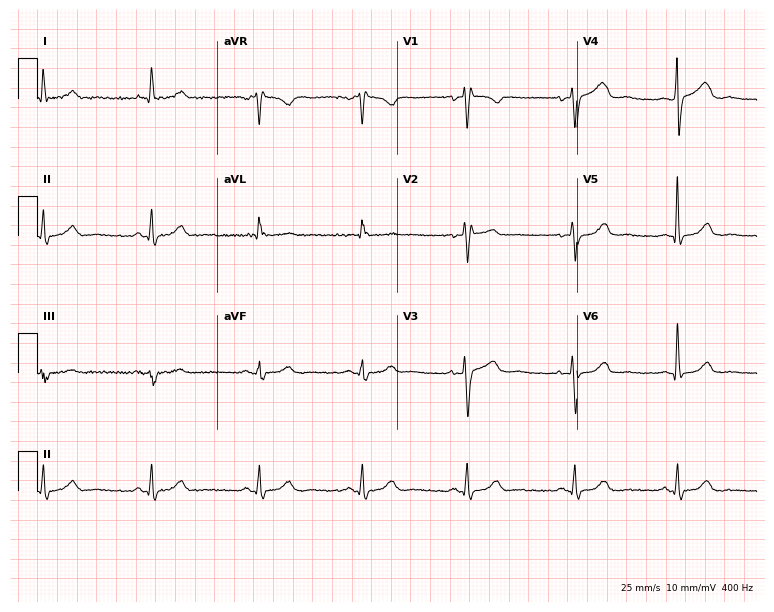
ECG (7.3-second recording at 400 Hz) — a 53-year-old woman. Screened for six findings — first-degree AV block, right bundle branch block (RBBB), left bundle branch block (LBBB), sinus bradycardia, atrial fibrillation (AF), sinus tachycardia — none is recorded.